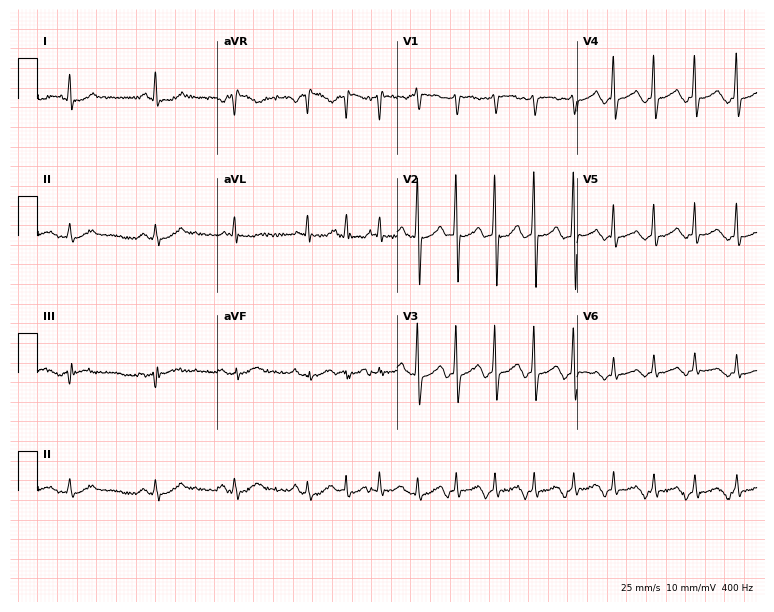
12-lead ECG from a male patient, 70 years old (7.3-second recording at 400 Hz). Shows sinus tachycardia (a sinus rate of 100 beats per minute or more).